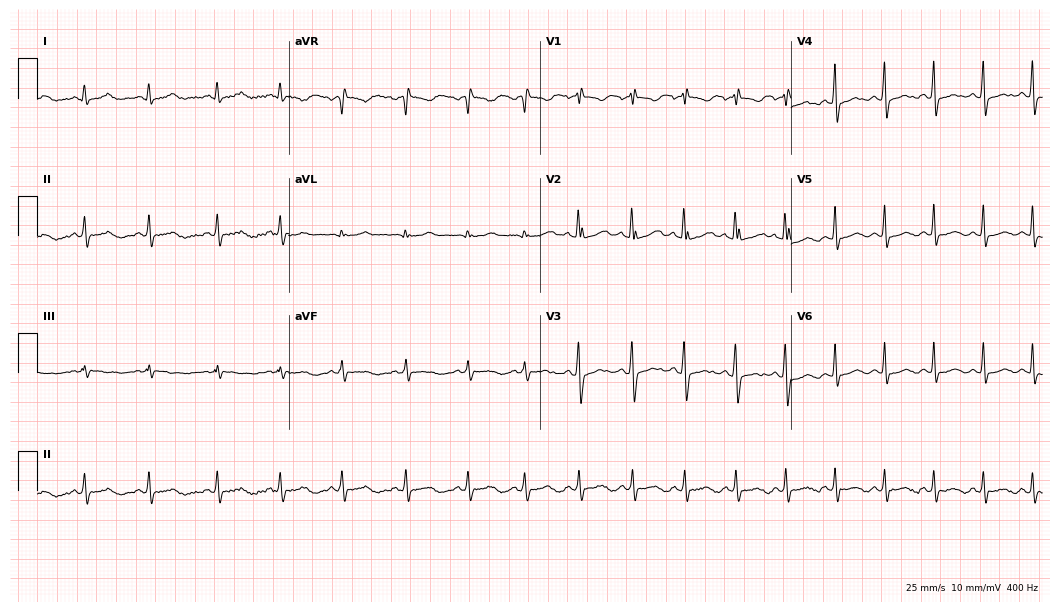
Electrocardiogram (10.2-second recording at 400 Hz), a woman, 20 years old. Overall reading on record: normal ECG.